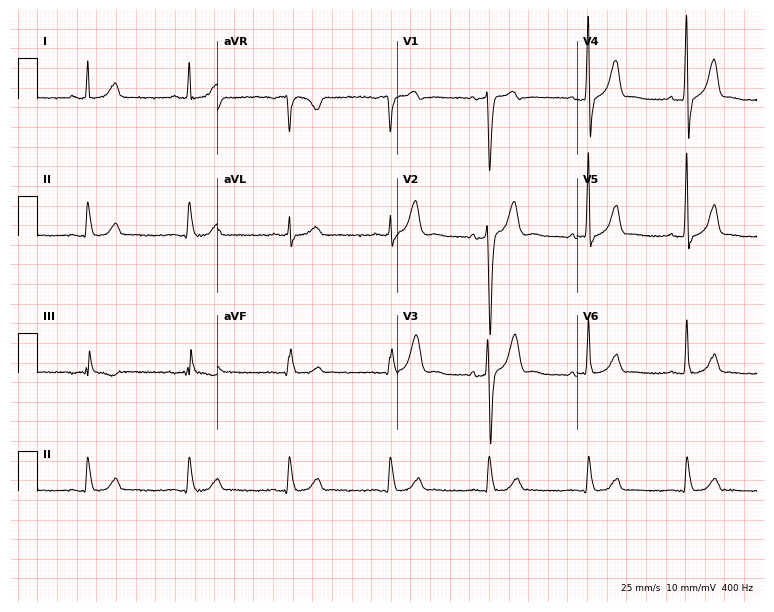
ECG (7.3-second recording at 400 Hz) — a male patient, 48 years old. Screened for six findings — first-degree AV block, right bundle branch block (RBBB), left bundle branch block (LBBB), sinus bradycardia, atrial fibrillation (AF), sinus tachycardia — none is recorded. Only these six findings were labelled.